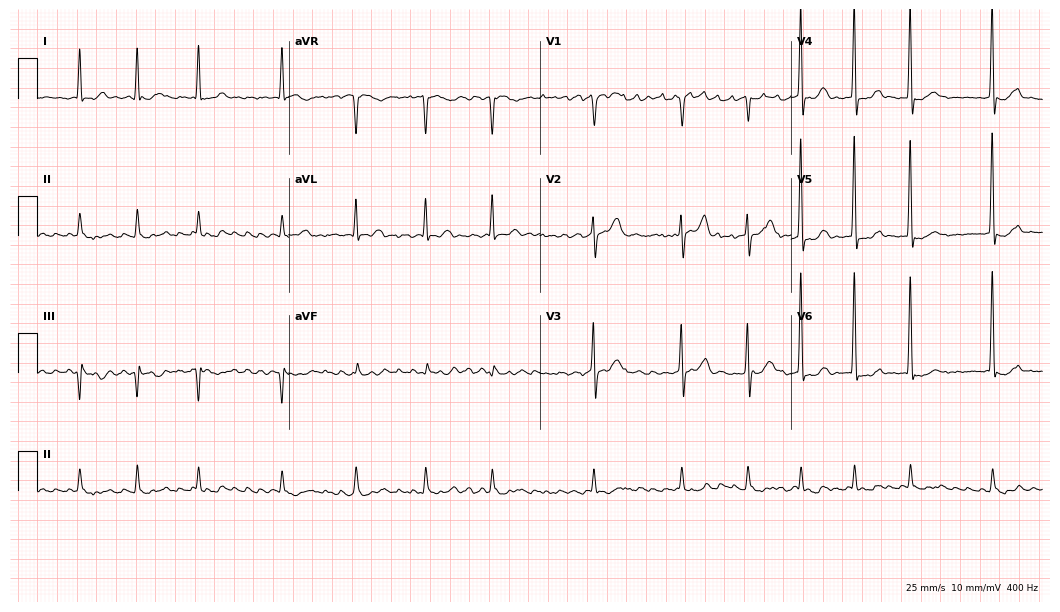
Standard 12-lead ECG recorded from a 71-year-old male patient. The tracing shows atrial fibrillation.